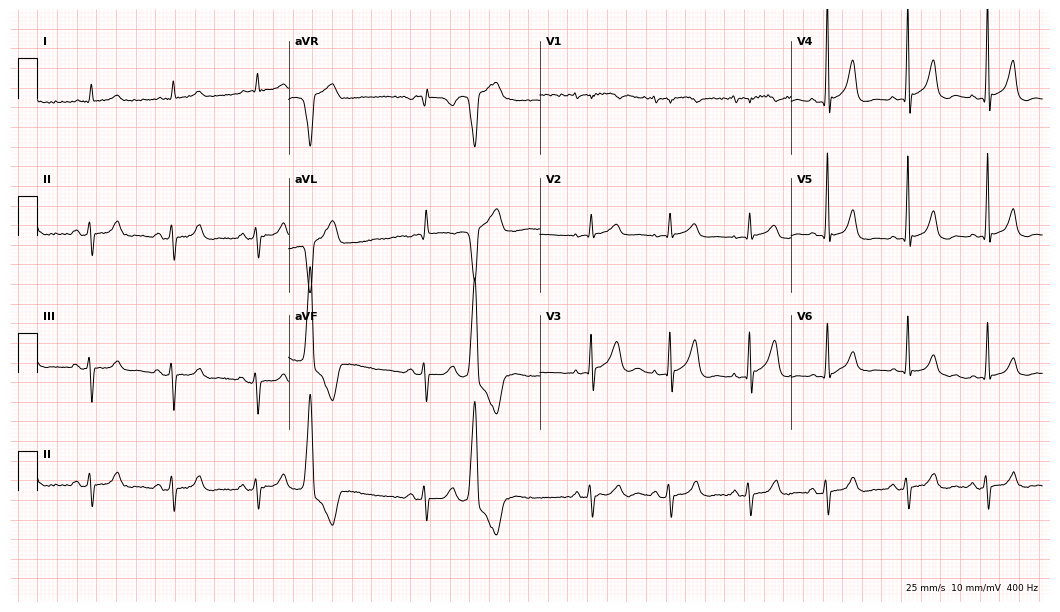
Standard 12-lead ECG recorded from a man, 80 years old (10.2-second recording at 400 Hz). None of these six findings is recorded: first-degree AV block, right bundle branch block (RBBB), left bundle branch block (LBBB), sinus bradycardia, atrial fibrillation (AF), sinus tachycardia.